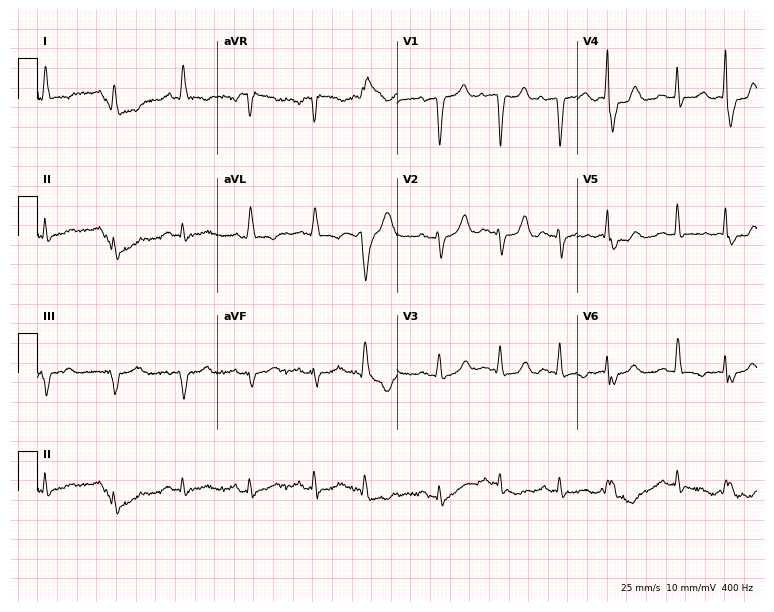
Standard 12-lead ECG recorded from a male, 81 years old. None of these six findings is recorded: first-degree AV block, right bundle branch block (RBBB), left bundle branch block (LBBB), sinus bradycardia, atrial fibrillation (AF), sinus tachycardia. Other findings, if any, are not listed.